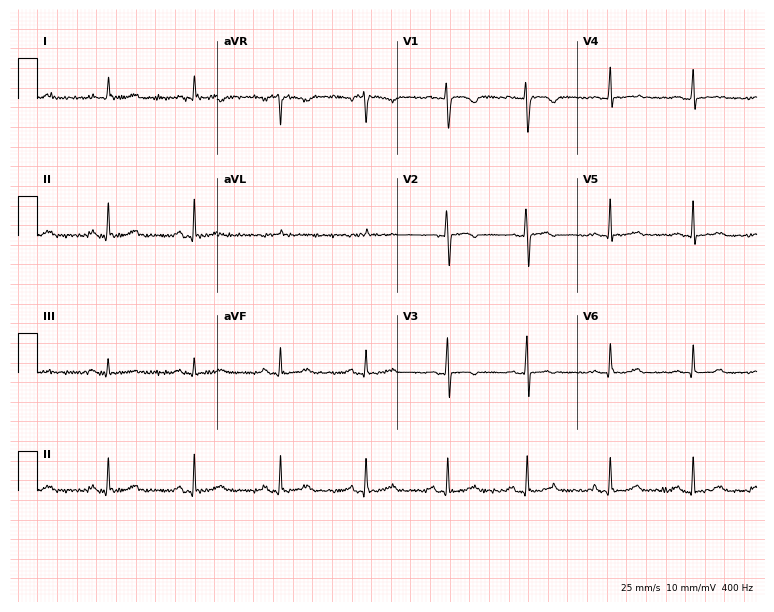
12-lead ECG from a female patient, 28 years old. Screened for six findings — first-degree AV block, right bundle branch block, left bundle branch block, sinus bradycardia, atrial fibrillation, sinus tachycardia — none is recorded.